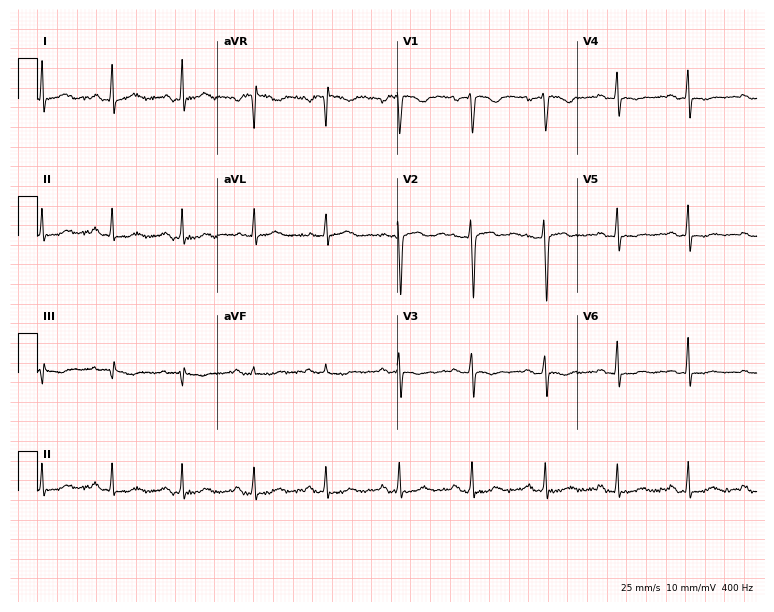
Standard 12-lead ECG recorded from a 38-year-old female patient (7.3-second recording at 400 Hz). None of these six findings is recorded: first-degree AV block, right bundle branch block, left bundle branch block, sinus bradycardia, atrial fibrillation, sinus tachycardia.